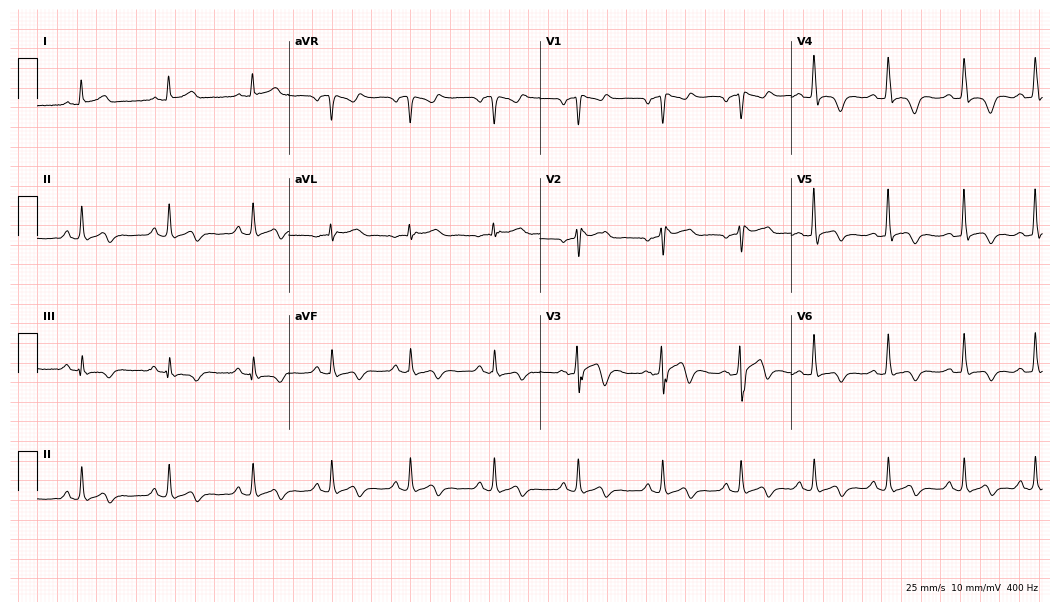
Standard 12-lead ECG recorded from a male, 27 years old (10.2-second recording at 400 Hz). Read as a normal ECG.